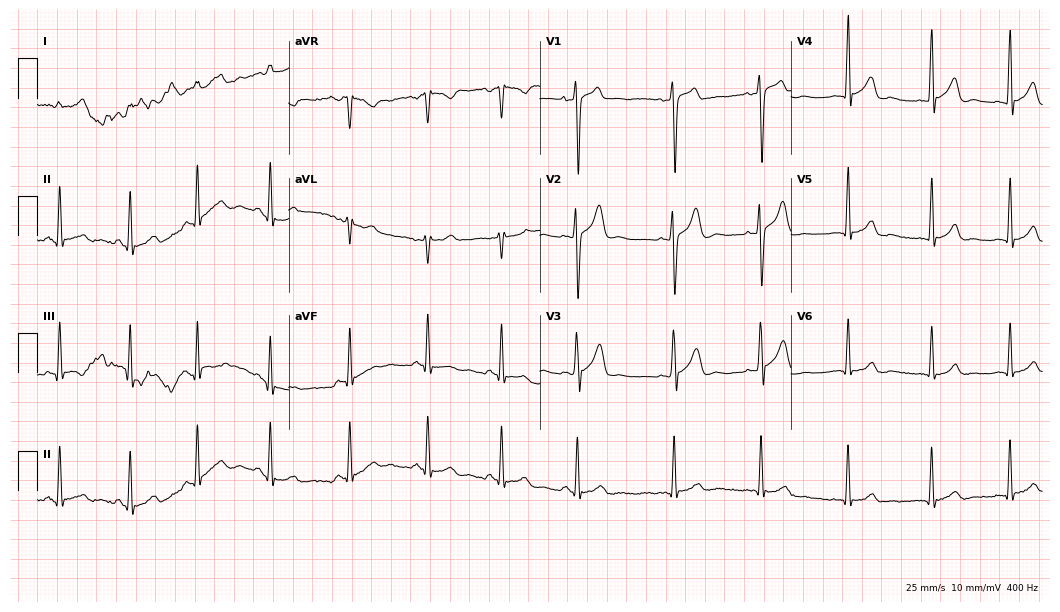
12-lead ECG from a 22-year-old male (10.2-second recording at 400 Hz). No first-degree AV block, right bundle branch block (RBBB), left bundle branch block (LBBB), sinus bradycardia, atrial fibrillation (AF) or sinus tachycardia recorded for this tracing.